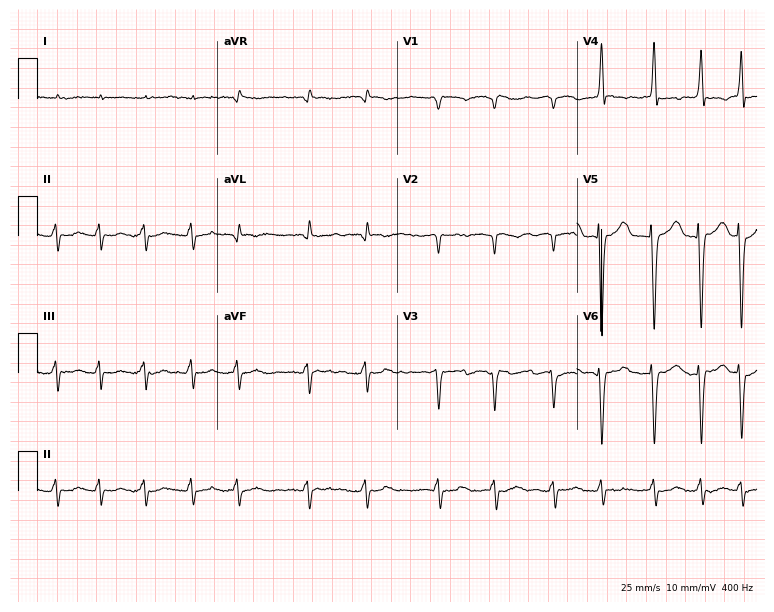
Electrocardiogram (7.3-second recording at 400 Hz), a woman, 74 years old. Interpretation includes atrial fibrillation.